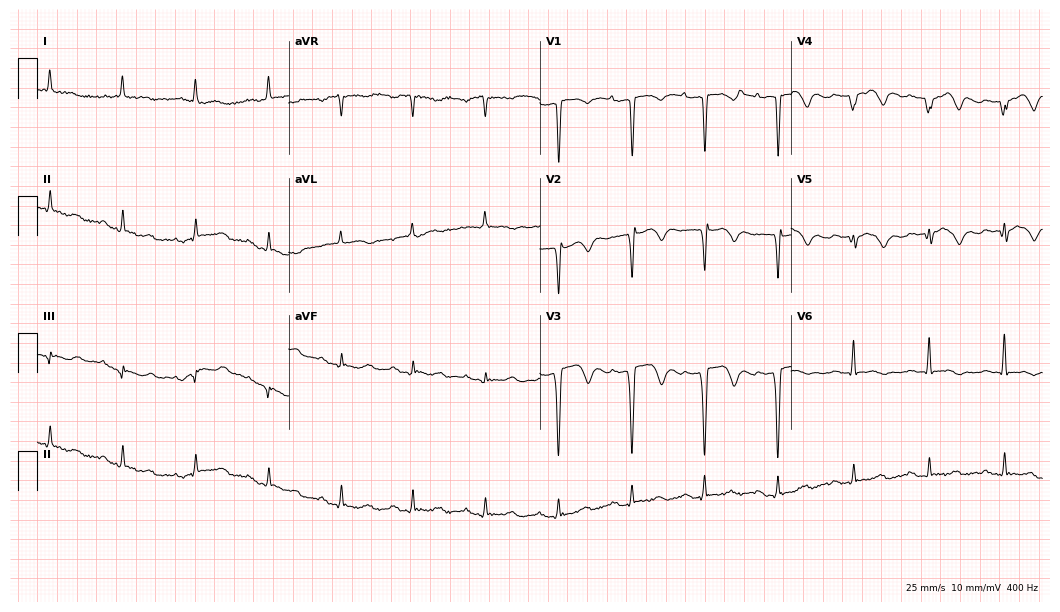
Electrocardiogram (10.2-second recording at 400 Hz), a female, 84 years old. Of the six screened findings (first-degree AV block, right bundle branch block (RBBB), left bundle branch block (LBBB), sinus bradycardia, atrial fibrillation (AF), sinus tachycardia), none is recorded.